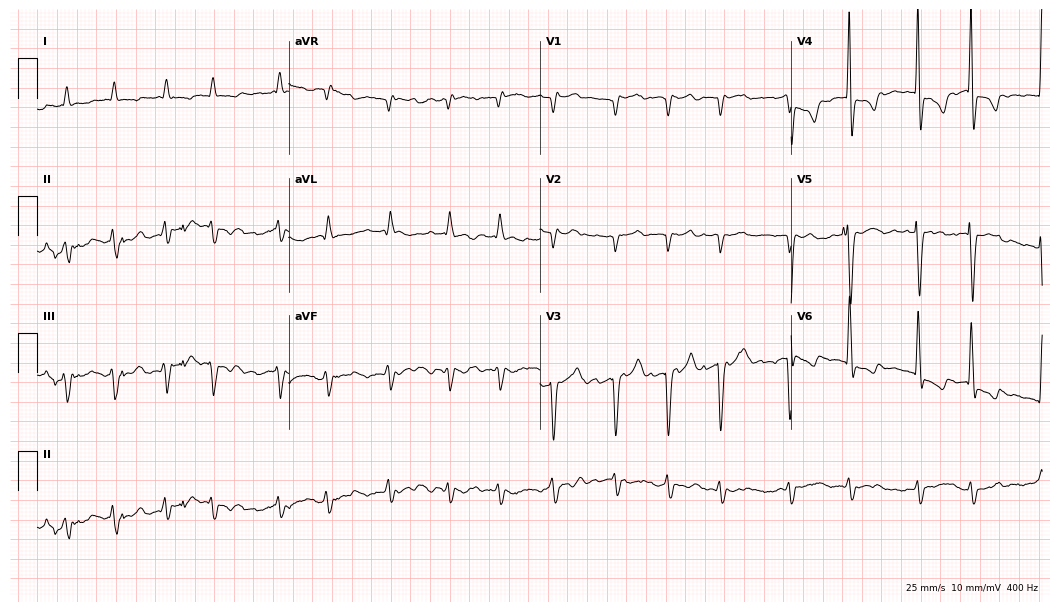
Standard 12-lead ECG recorded from an 80-year-old male (10.2-second recording at 400 Hz). None of these six findings is recorded: first-degree AV block, right bundle branch block (RBBB), left bundle branch block (LBBB), sinus bradycardia, atrial fibrillation (AF), sinus tachycardia. Findings outside these six are not listed.